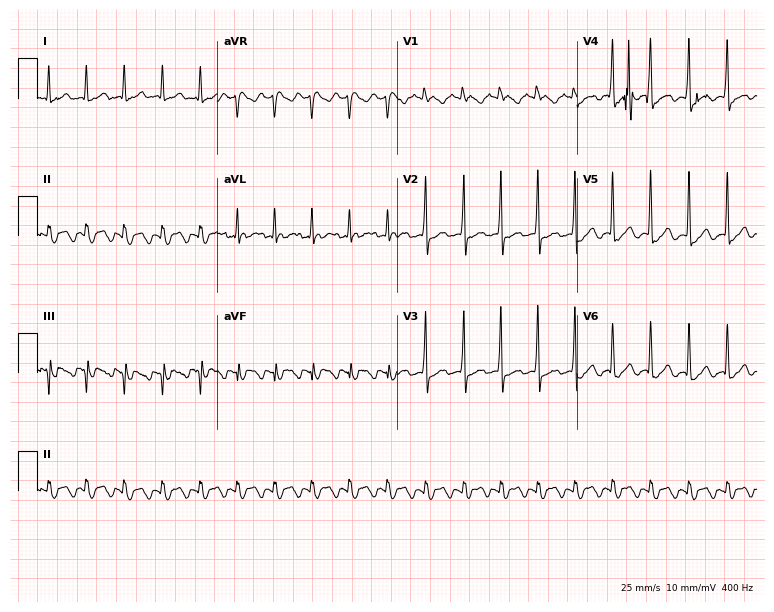
12-lead ECG from a 75-year-old male (7.3-second recording at 400 Hz). No first-degree AV block, right bundle branch block, left bundle branch block, sinus bradycardia, atrial fibrillation or sinus tachycardia recorded for this tracing. Findings outside these six are not listed.